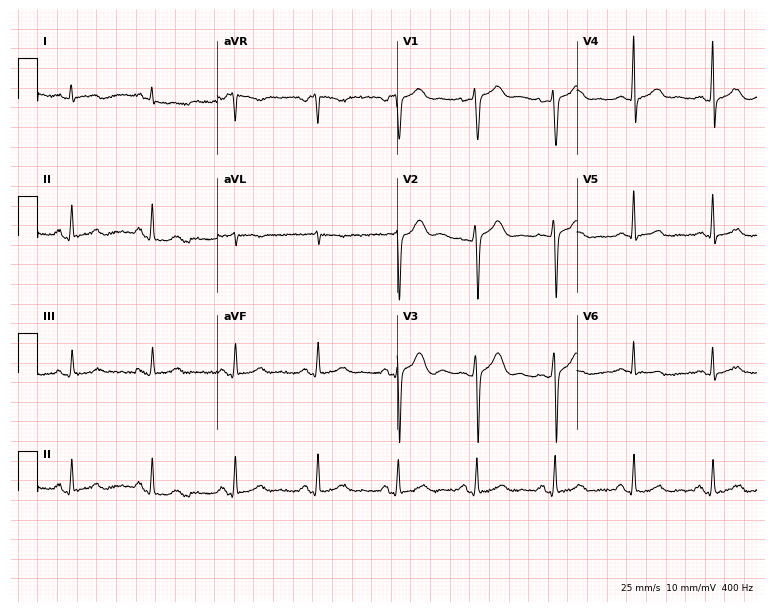
Resting 12-lead electrocardiogram. Patient: a male, 32 years old. Read as a normal ECG.